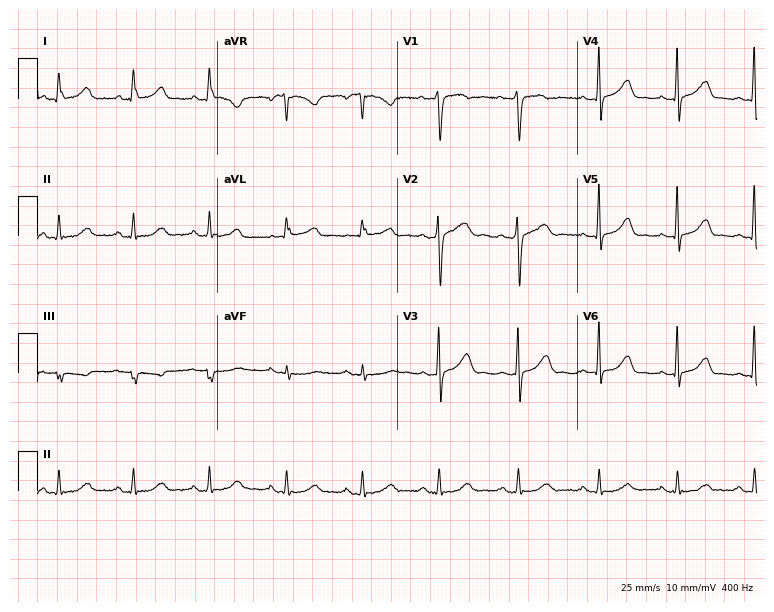
Electrocardiogram, a female patient, 46 years old. Overall reading on record: normal ECG.